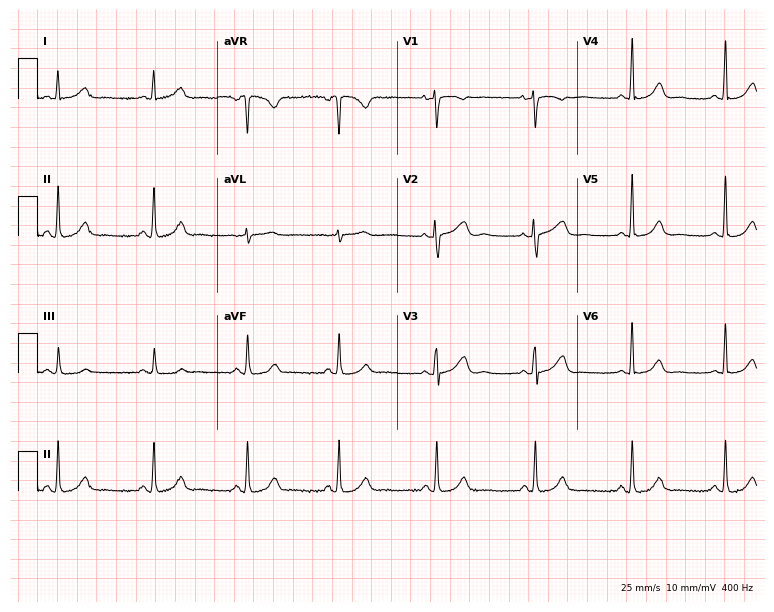
Electrocardiogram, a woman, 49 years old. Of the six screened findings (first-degree AV block, right bundle branch block, left bundle branch block, sinus bradycardia, atrial fibrillation, sinus tachycardia), none is recorded.